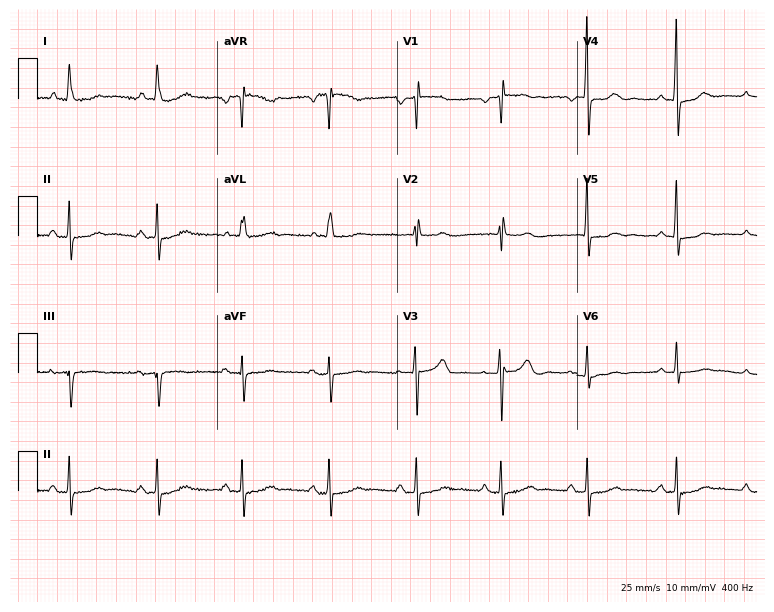
Standard 12-lead ECG recorded from a female patient, 66 years old (7.3-second recording at 400 Hz). None of these six findings is recorded: first-degree AV block, right bundle branch block (RBBB), left bundle branch block (LBBB), sinus bradycardia, atrial fibrillation (AF), sinus tachycardia. Findings outside these six are not listed.